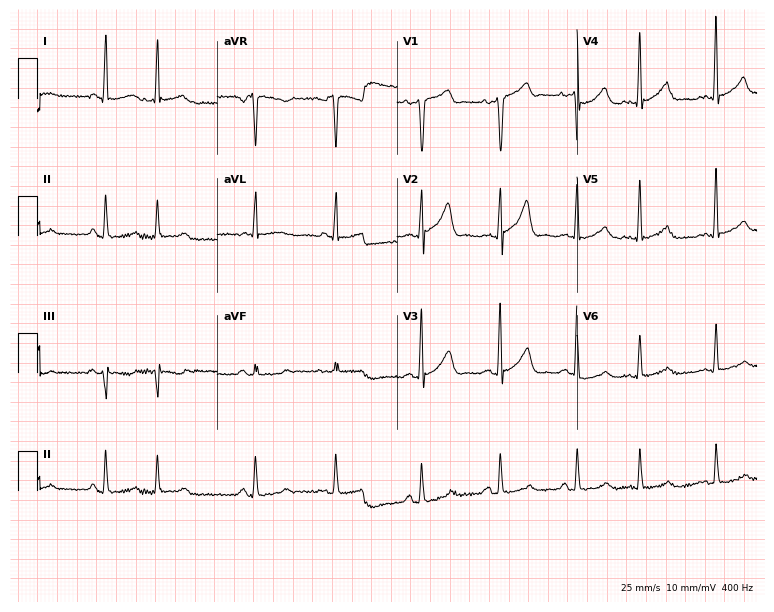
Electrocardiogram, a man, 72 years old. Of the six screened findings (first-degree AV block, right bundle branch block (RBBB), left bundle branch block (LBBB), sinus bradycardia, atrial fibrillation (AF), sinus tachycardia), none is recorded. Findings outside these six are not listed.